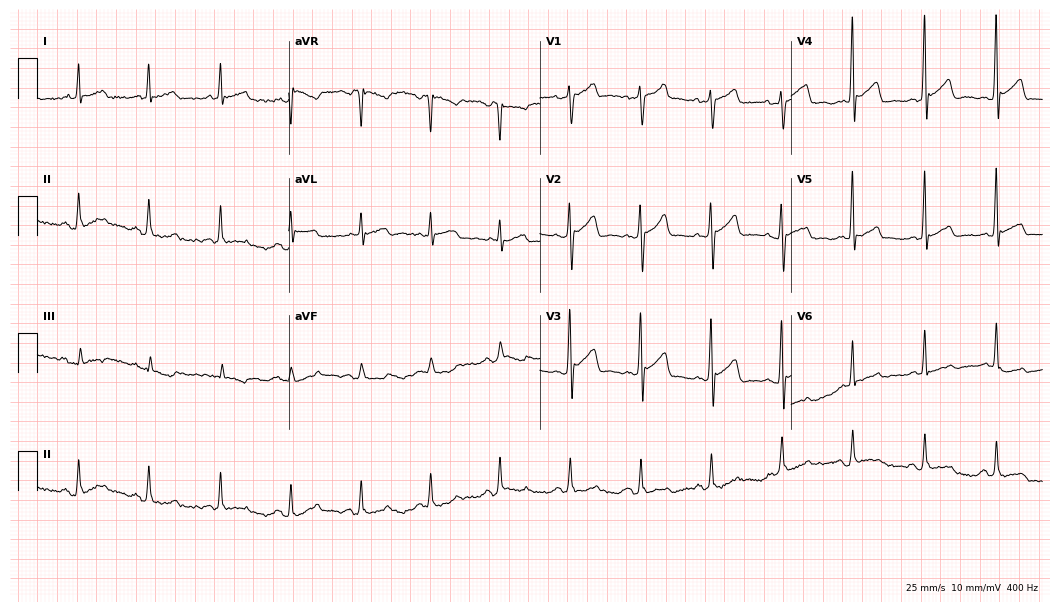
ECG — a 63-year-old male patient. Screened for six findings — first-degree AV block, right bundle branch block, left bundle branch block, sinus bradycardia, atrial fibrillation, sinus tachycardia — none is recorded. Other findings, if any, are not listed.